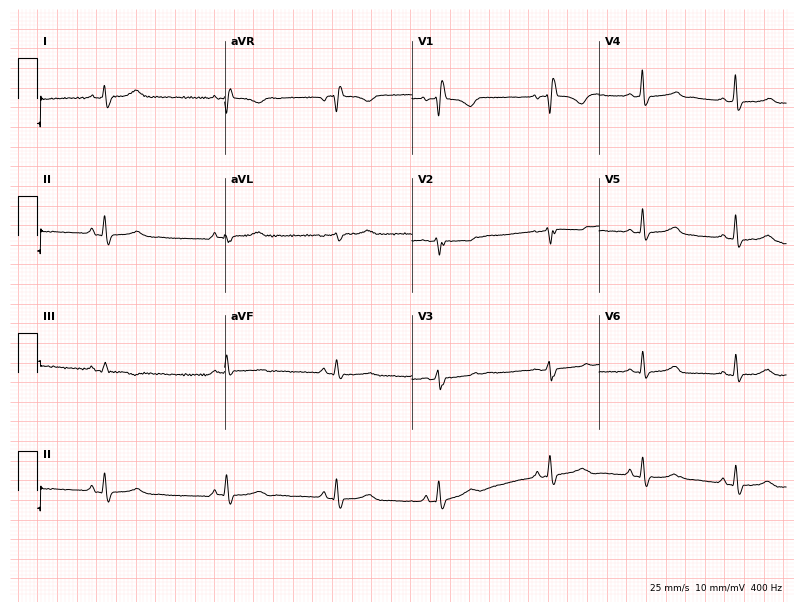
Electrocardiogram, a 45-year-old female. Interpretation includes right bundle branch block.